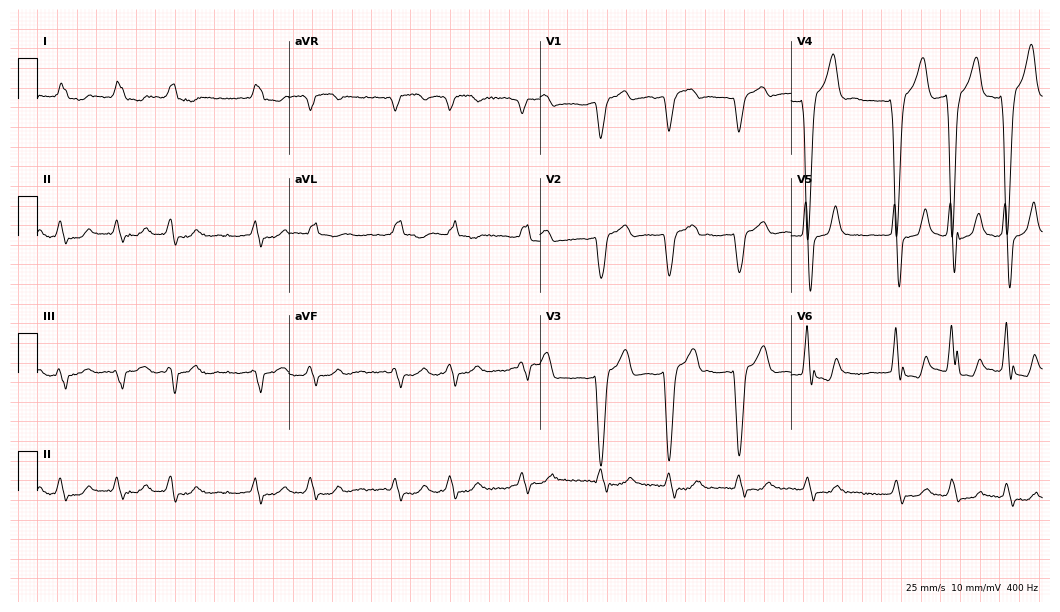
ECG (10.2-second recording at 400 Hz) — a male, 84 years old. Findings include left bundle branch block, atrial fibrillation.